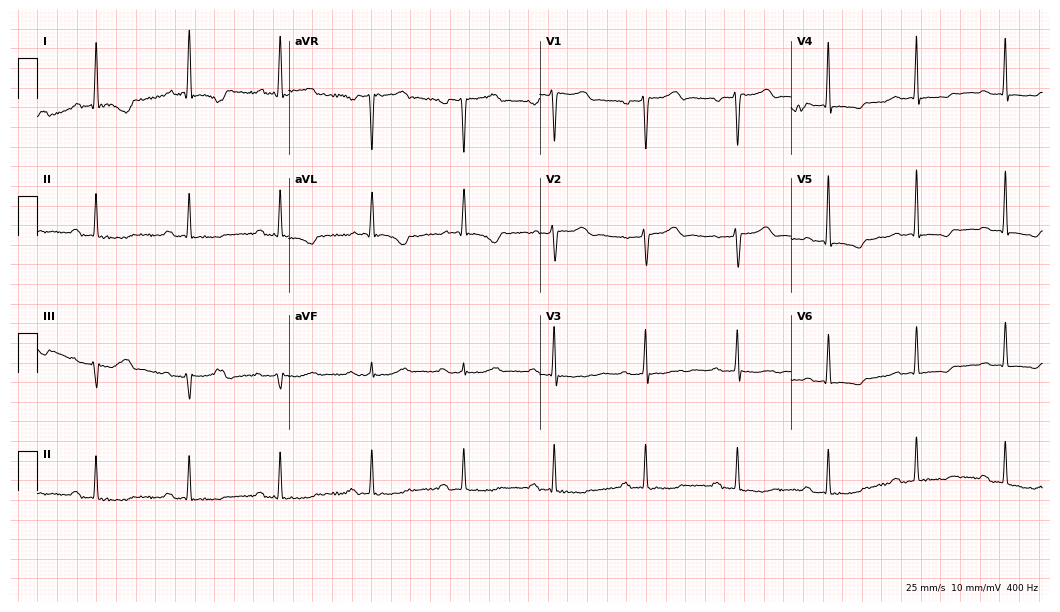
12-lead ECG (10.2-second recording at 400 Hz) from a 50-year-old female patient. Screened for six findings — first-degree AV block, right bundle branch block, left bundle branch block, sinus bradycardia, atrial fibrillation, sinus tachycardia — none is recorded. Other findings, if any, are not listed.